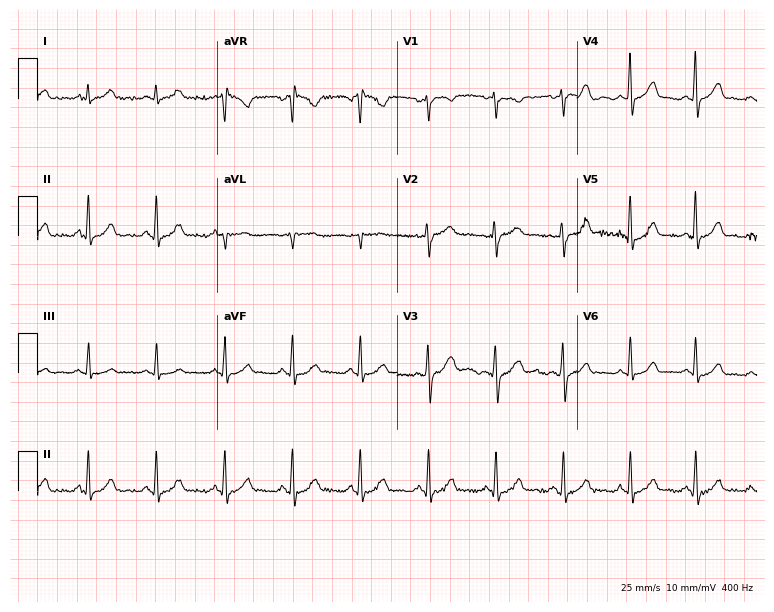
12-lead ECG from a female patient, 40 years old. Recorded interpretation: within normal limits.